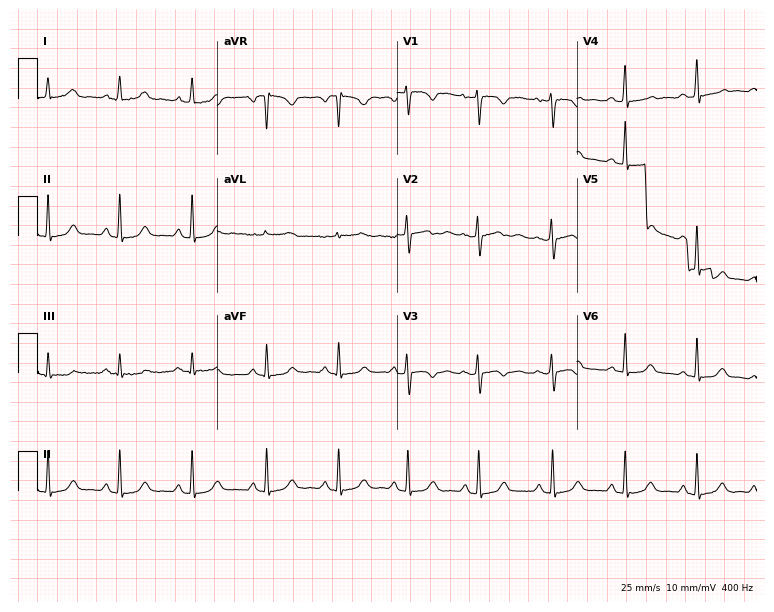
ECG (7.3-second recording at 400 Hz) — a 39-year-old female patient. Screened for six findings — first-degree AV block, right bundle branch block, left bundle branch block, sinus bradycardia, atrial fibrillation, sinus tachycardia — none is recorded.